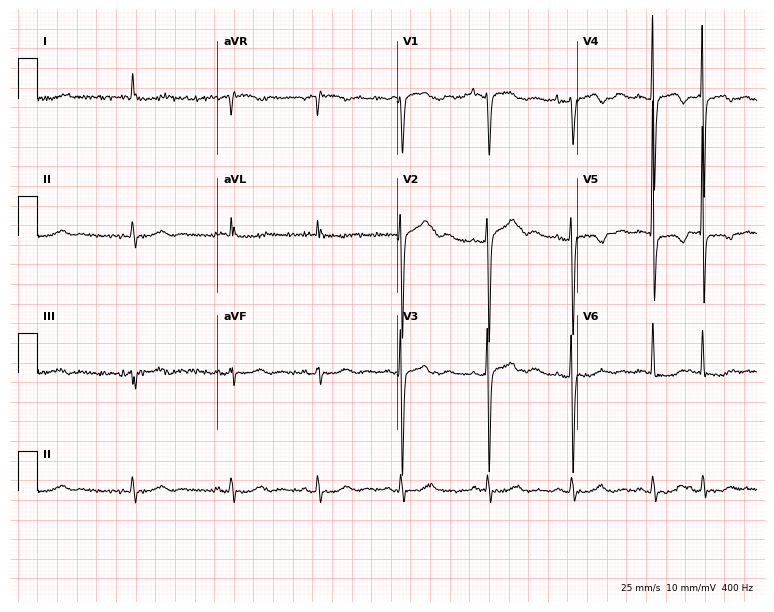
Standard 12-lead ECG recorded from a 71-year-old female patient. None of these six findings is recorded: first-degree AV block, right bundle branch block, left bundle branch block, sinus bradycardia, atrial fibrillation, sinus tachycardia. Only these six findings were labelled.